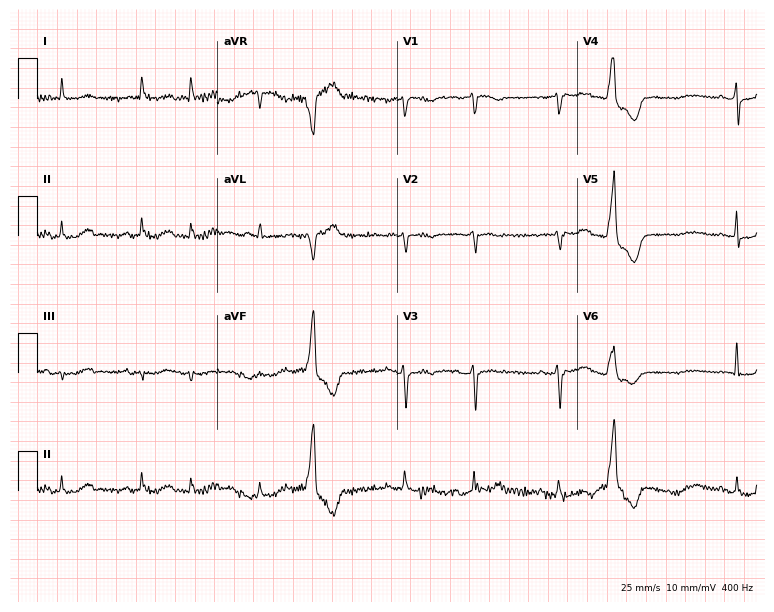
Electrocardiogram (7.3-second recording at 400 Hz), a male, 73 years old. Of the six screened findings (first-degree AV block, right bundle branch block (RBBB), left bundle branch block (LBBB), sinus bradycardia, atrial fibrillation (AF), sinus tachycardia), none is recorded. Findings outside these six are not listed.